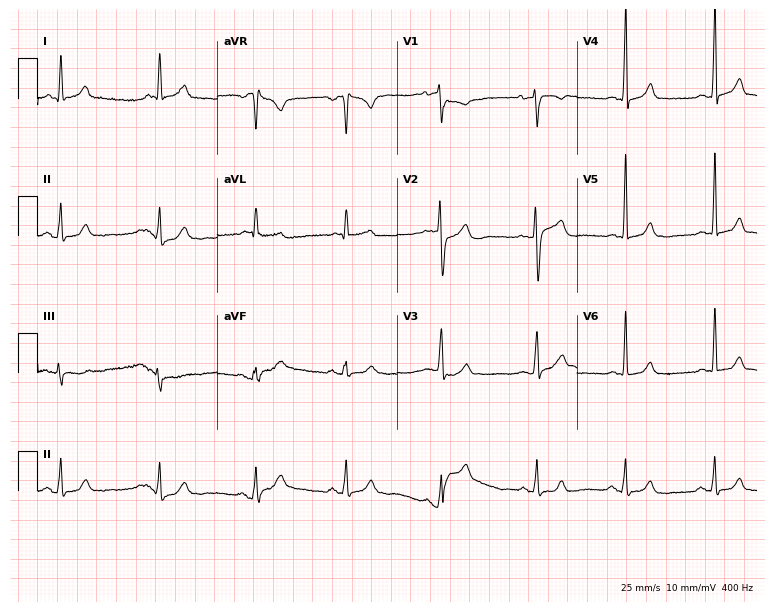
Standard 12-lead ECG recorded from a 60-year-old man. Read as a normal ECG.